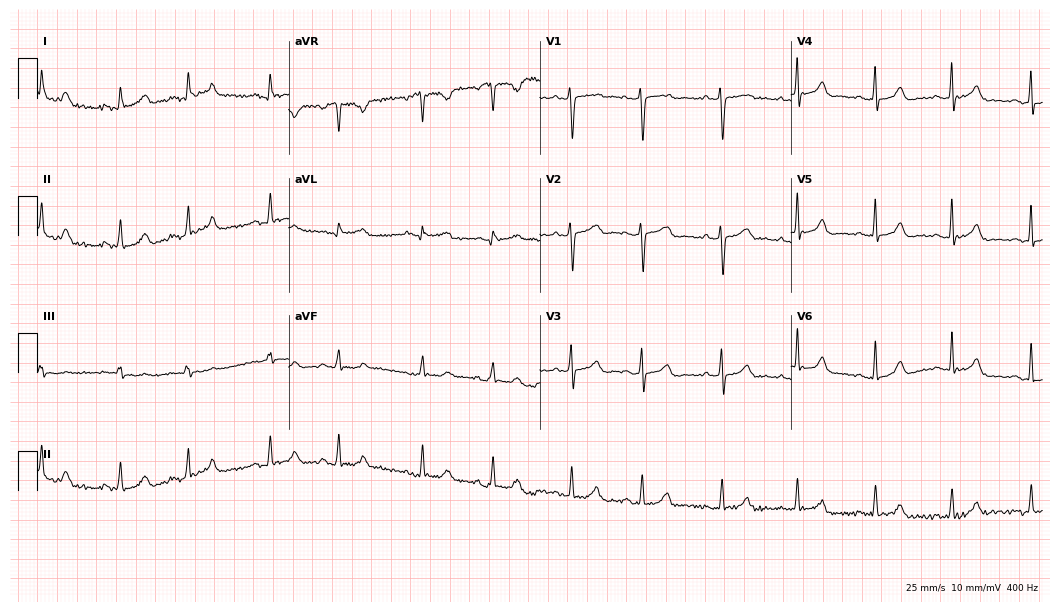
Resting 12-lead electrocardiogram (10.2-second recording at 400 Hz). Patient: a female, 28 years old. Read as a normal ECG.